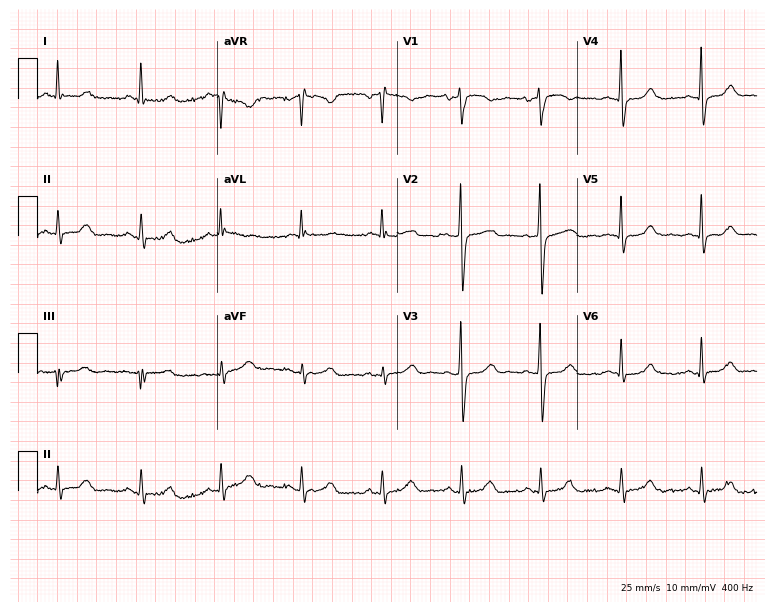
Electrocardiogram, a woman, 65 years old. Of the six screened findings (first-degree AV block, right bundle branch block, left bundle branch block, sinus bradycardia, atrial fibrillation, sinus tachycardia), none is recorded.